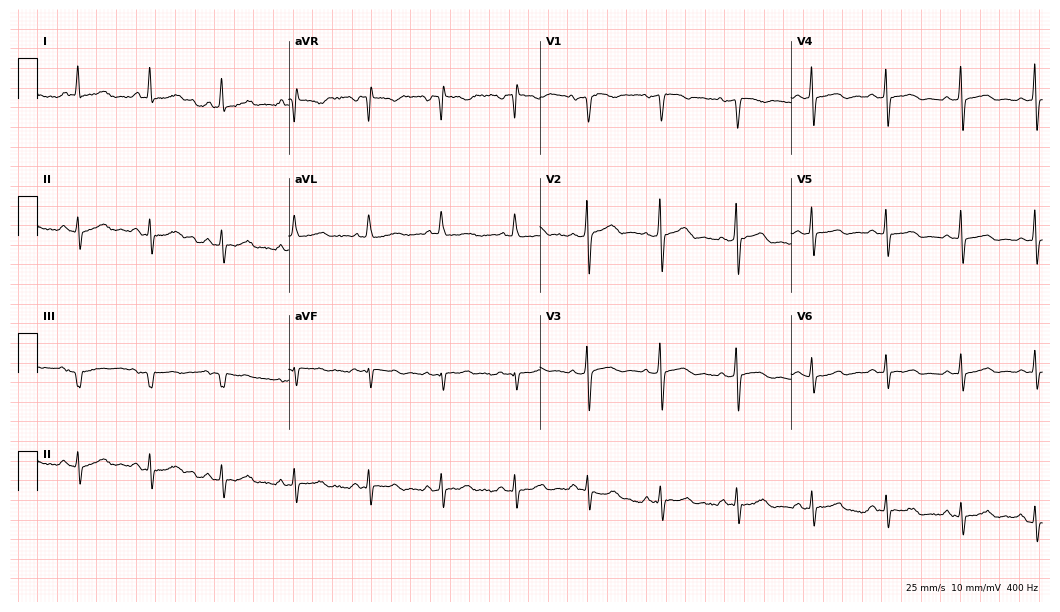
12-lead ECG (10.2-second recording at 400 Hz) from a 61-year-old female. Screened for six findings — first-degree AV block, right bundle branch block (RBBB), left bundle branch block (LBBB), sinus bradycardia, atrial fibrillation (AF), sinus tachycardia — none is recorded.